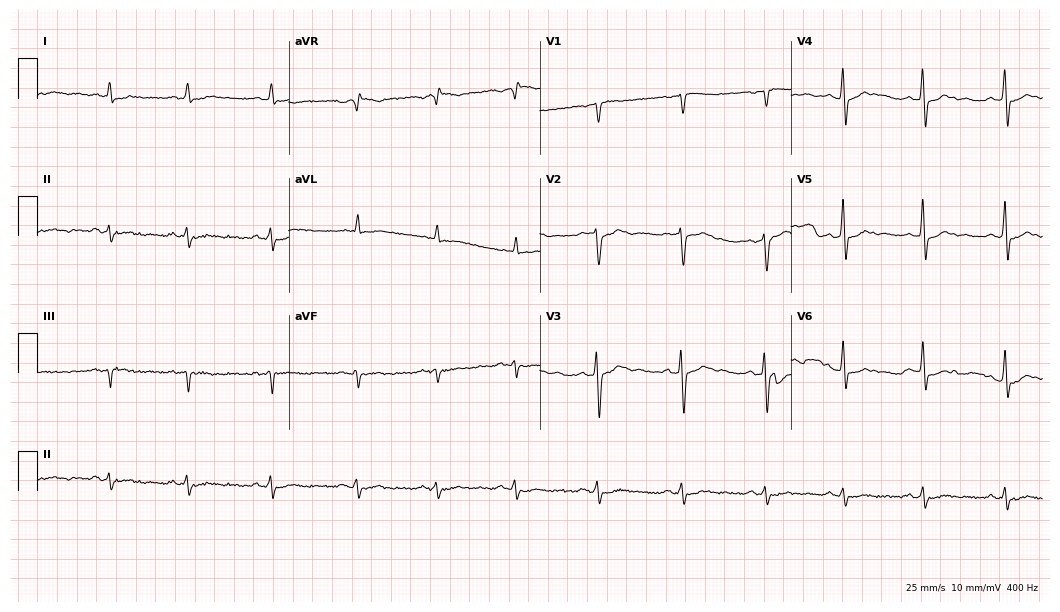
12-lead ECG (10.2-second recording at 400 Hz) from a 55-year-old male. Screened for six findings — first-degree AV block, right bundle branch block, left bundle branch block, sinus bradycardia, atrial fibrillation, sinus tachycardia — none is recorded.